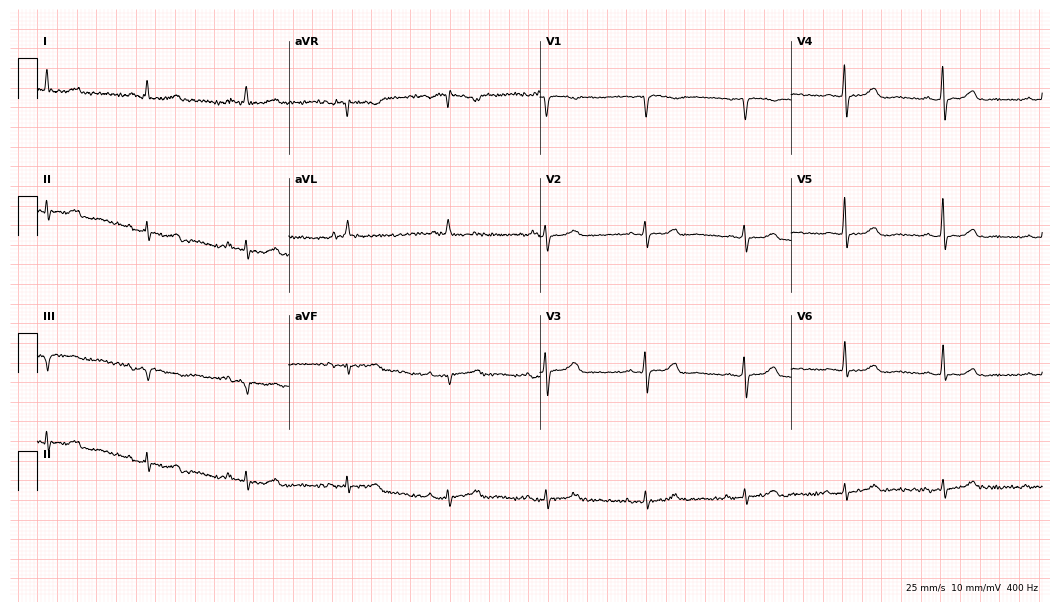
Resting 12-lead electrocardiogram (10.2-second recording at 400 Hz). Patient: an 85-year-old man. Read as a normal ECG.